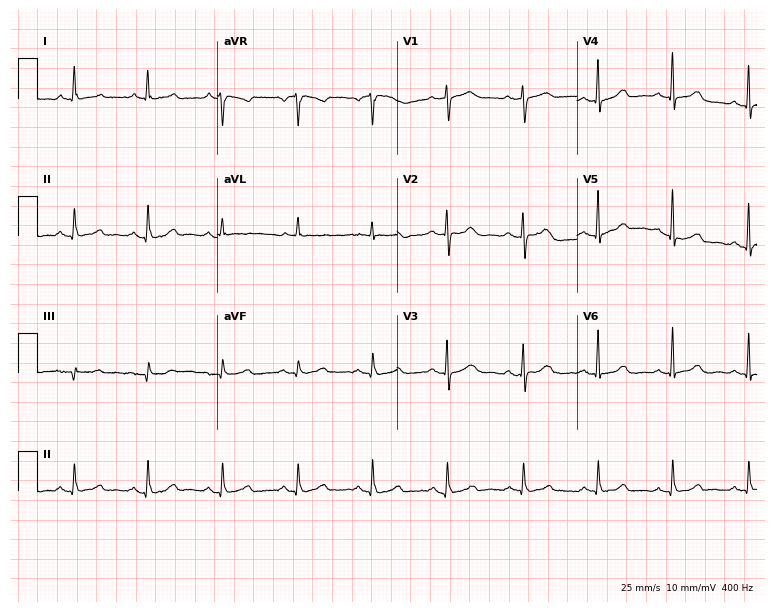
Resting 12-lead electrocardiogram. Patient: a 71-year-old female. Read as a normal ECG.